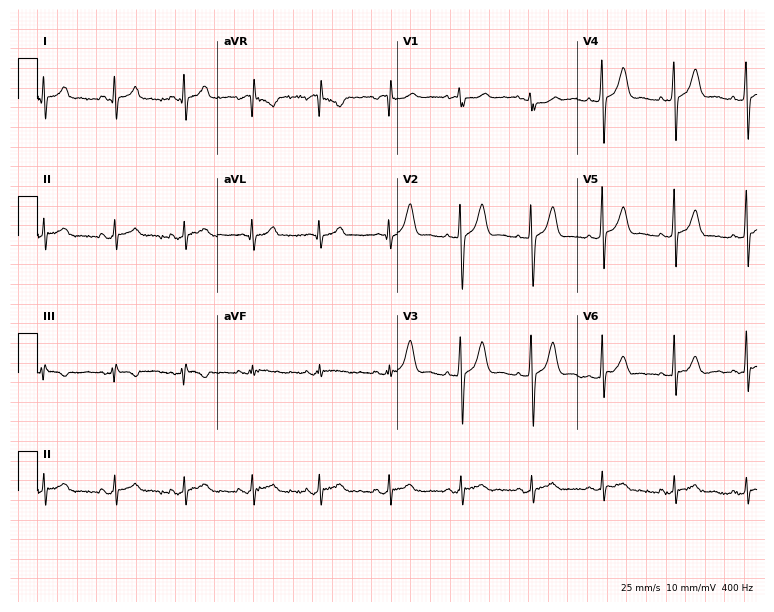
12-lead ECG (7.3-second recording at 400 Hz) from a 26-year-old male. Screened for six findings — first-degree AV block, right bundle branch block, left bundle branch block, sinus bradycardia, atrial fibrillation, sinus tachycardia — none is recorded. Only these six findings were labelled.